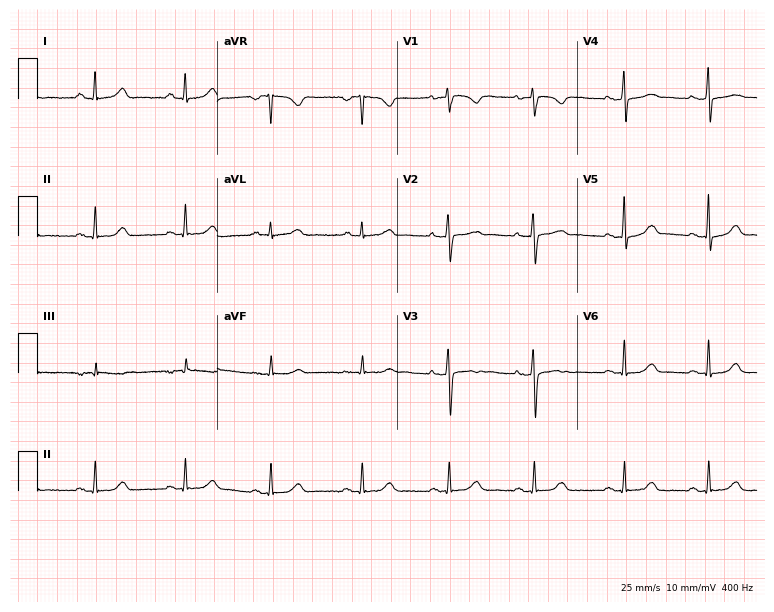
Electrocardiogram, a 34-year-old female. Overall reading on record: normal ECG.